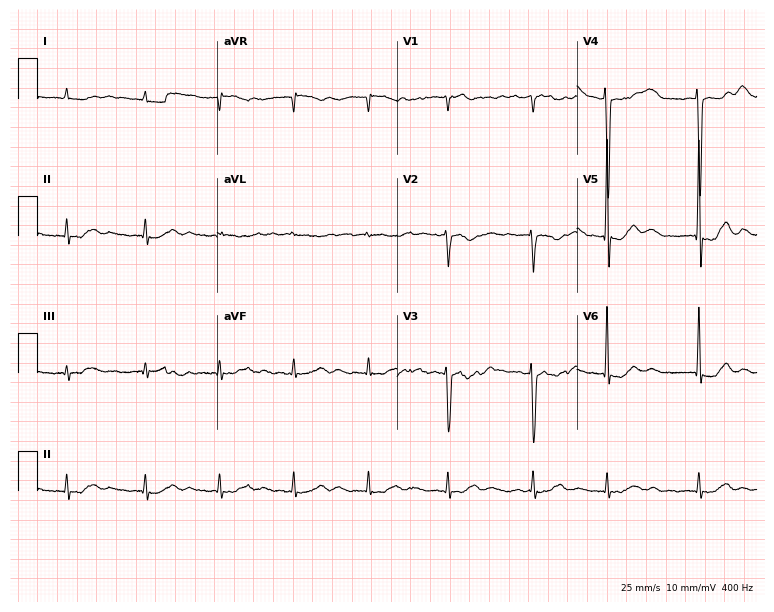
Standard 12-lead ECG recorded from an 85-year-old female. None of these six findings is recorded: first-degree AV block, right bundle branch block (RBBB), left bundle branch block (LBBB), sinus bradycardia, atrial fibrillation (AF), sinus tachycardia.